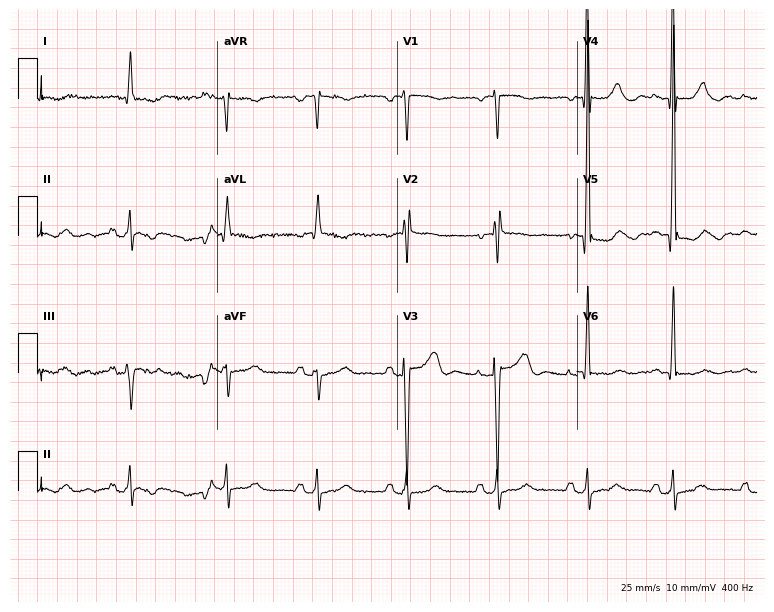
Resting 12-lead electrocardiogram (7.3-second recording at 400 Hz). Patient: a man, 69 years old. None of these six findings is recorded: first-degree AV block, right bundle branch block (RBBB), left bundle branch block (LBBB), sinus bradycardia, atrial fibrillation (AF), sinus tachycardia.